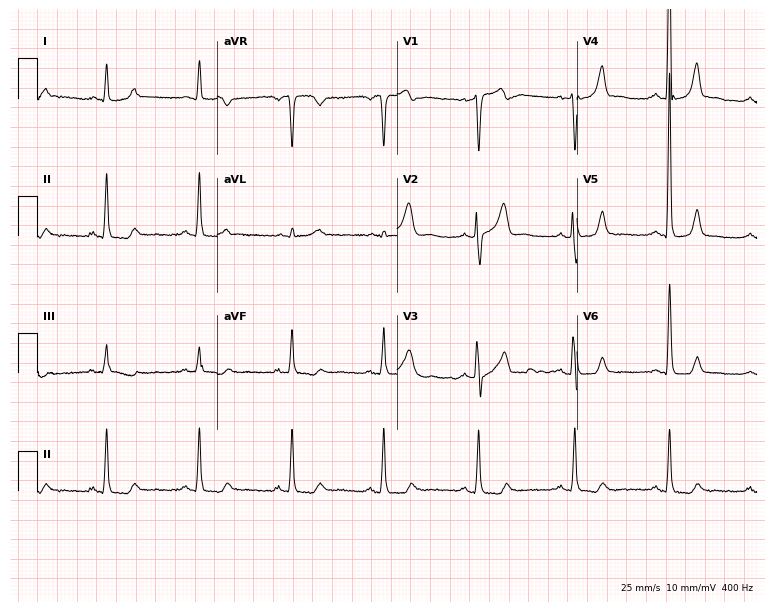
Electrocardiogram (7.3-second recording at 400 Hz), a 69-year-old male patient. Of the six screened findings (first-degree AV block, right bundle branch block, left bundle branch block, sinus bradycardia, atrial fibrillation, sinus tachycardia), none is recorded.